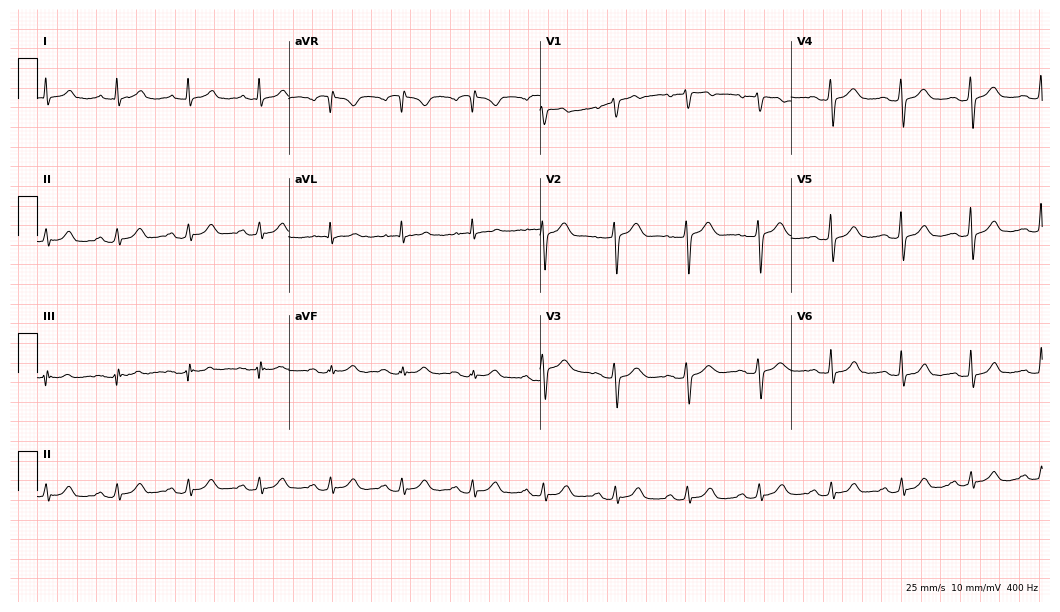
Resting 12-lead electrocardiogram (10.2-second recording at 400 Hz). Patient: a 56-year-old woman. Read as a normal ECG.